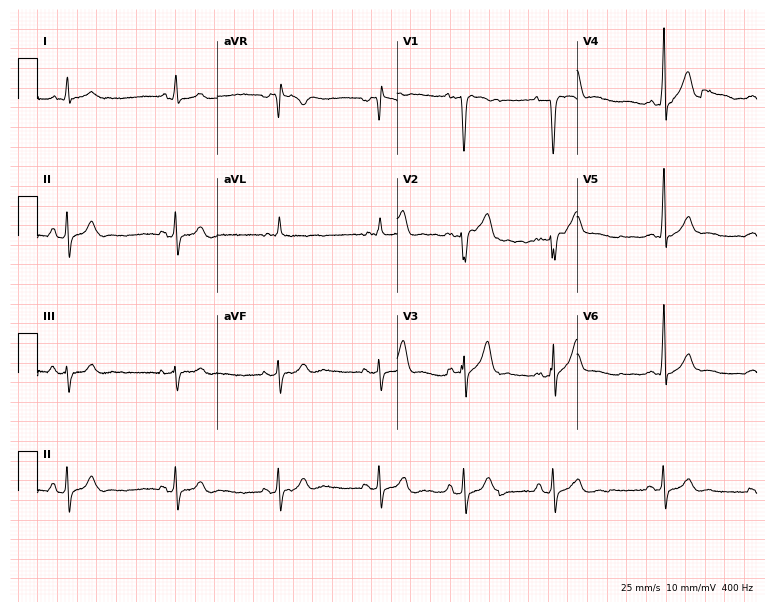
12-lead ECG from a male, 33 years old. Labelled as a normal ECG.